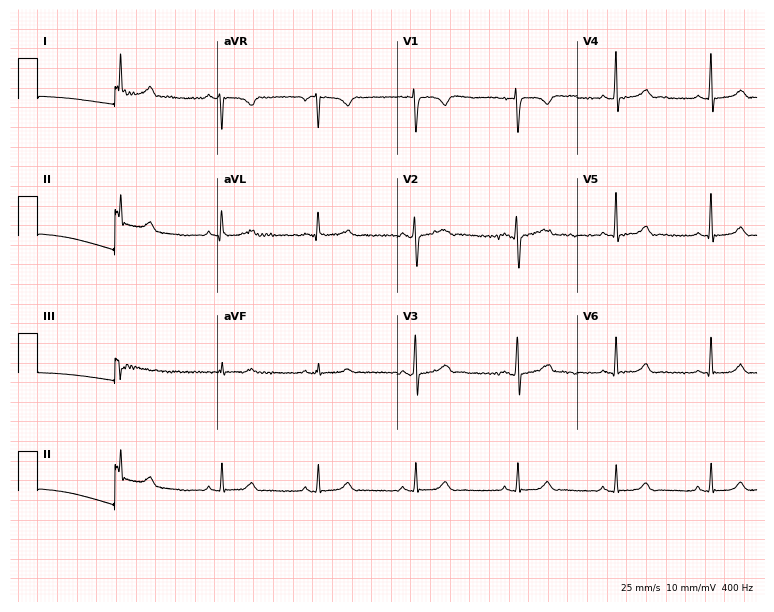
Electrocardiogram (7.3-second recording at 400 Hz), a female patient, 47 years old. Overall reading on record: normal ECG.